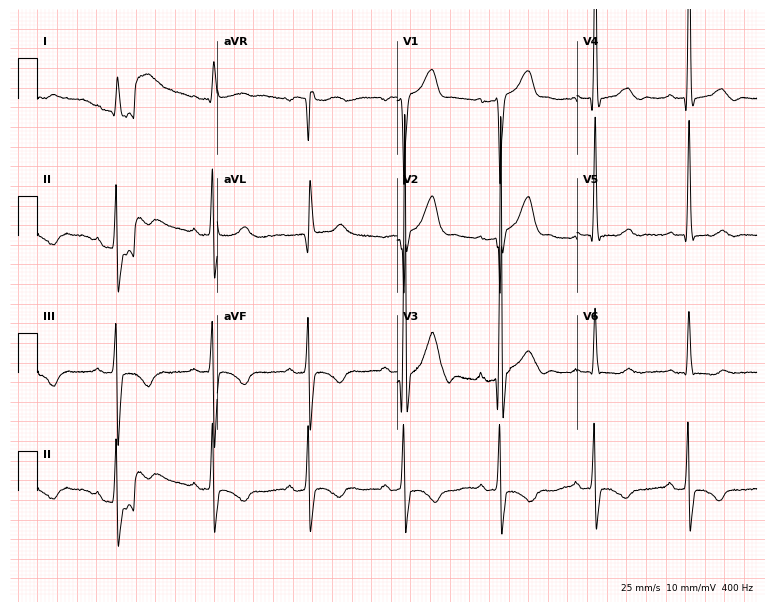
Standard 12-lead ECG recorded from a 67-year-old male (7.3-second recording at 400 Hz). None of these six findings is recorded: first-degree AV block, right bundle branch block (RBBB), left bundle branch block (LBBB), sinus bradycardia, atrial fibrillation (AF), sinus tachycardia. Other findings, if any, are not listed.